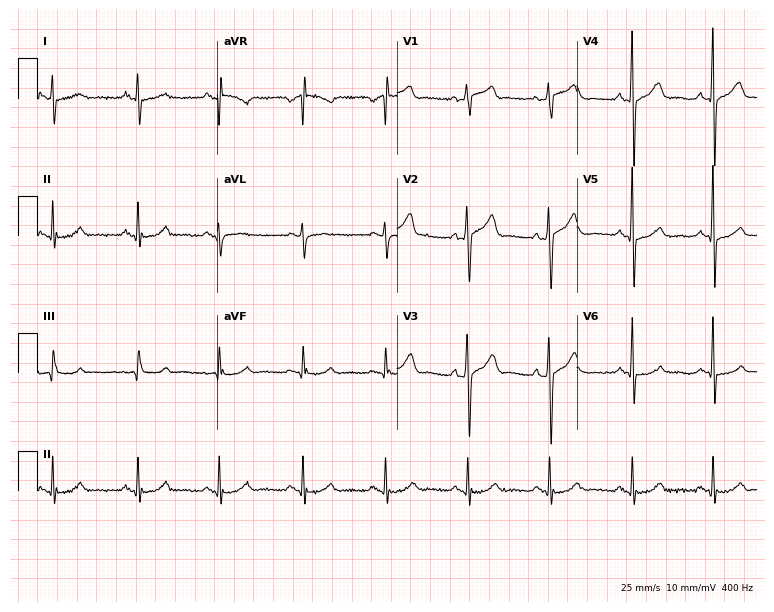
Resting 12-lead electrocardiogram (7.3-second recording at 400 Hz). Patient: a 47-year-old female. None of these six findings is recorded: first-degree AV block, right bundle branch block, left bundle branch block, sinus bradycardia, atrial fibrillation, sinus tachycardia. Other findings, if any, are not listed.